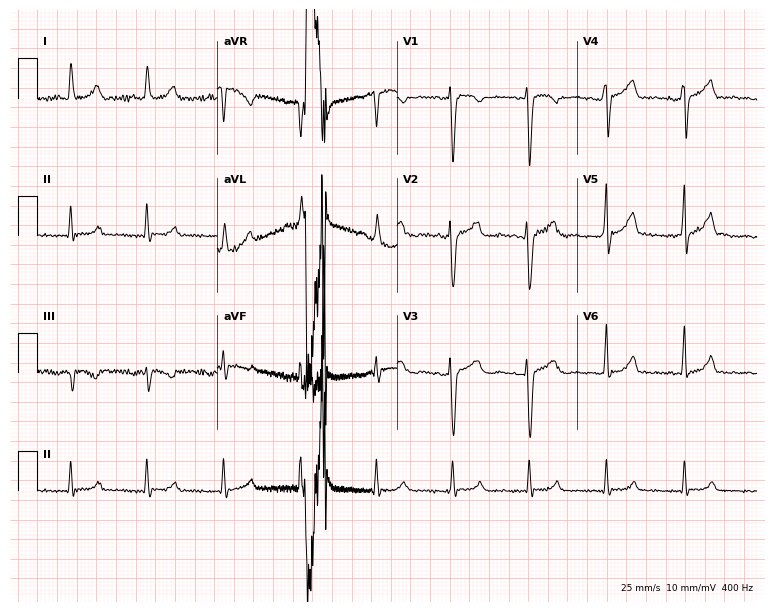
Electrocardiogram, a female patient, 54 years old. Of the six screened findings (first-degree AV block, right bundle branch block, left bundle branch block, sinus bradycardia, atrial fibrillation, sinus tachycardia), none is recorded.